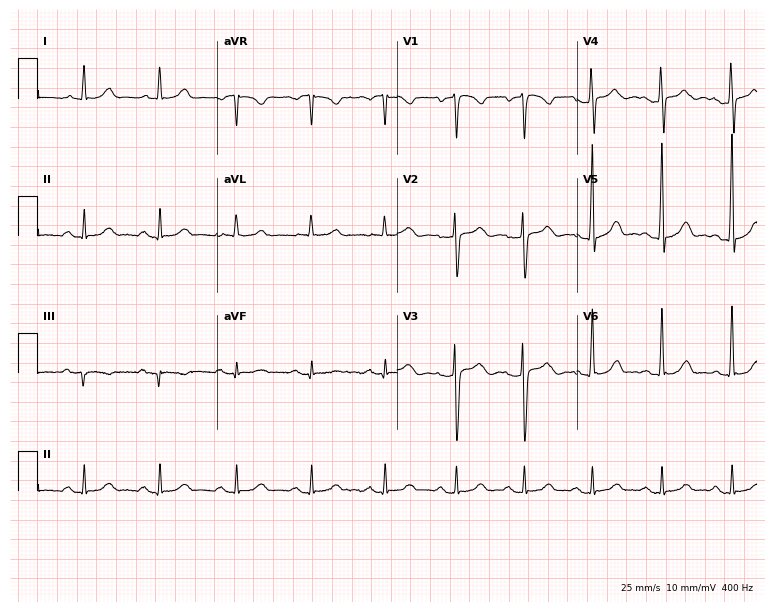
ECG — a male patient, 60 years old. Labelled as a normal ECG.